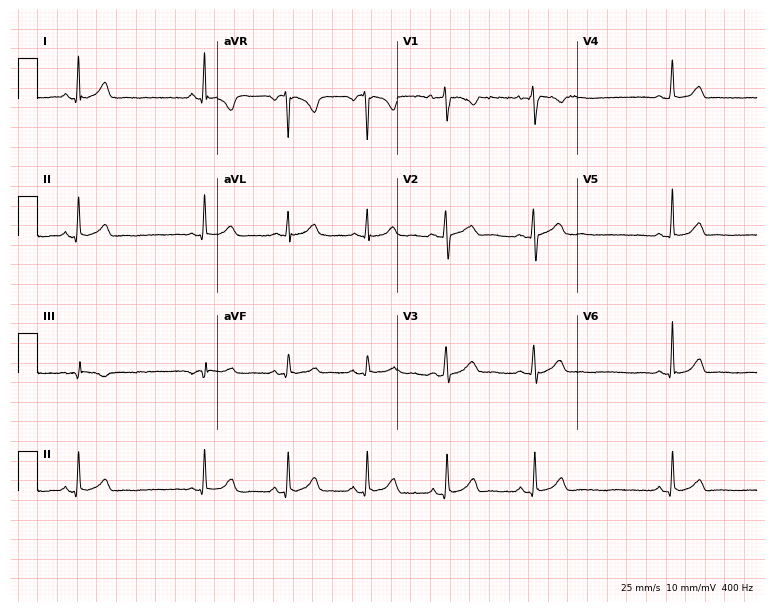
Resting 12-lead electrocardiogram. Patient: a 33-year-old woman. None of these six findings is recorded: first-degree AV block, right bundle branch block (RBBB), left bundle branch block (LBBB), sinus bradycardia, atrial fibrillation (AF), sinus tachycardia.